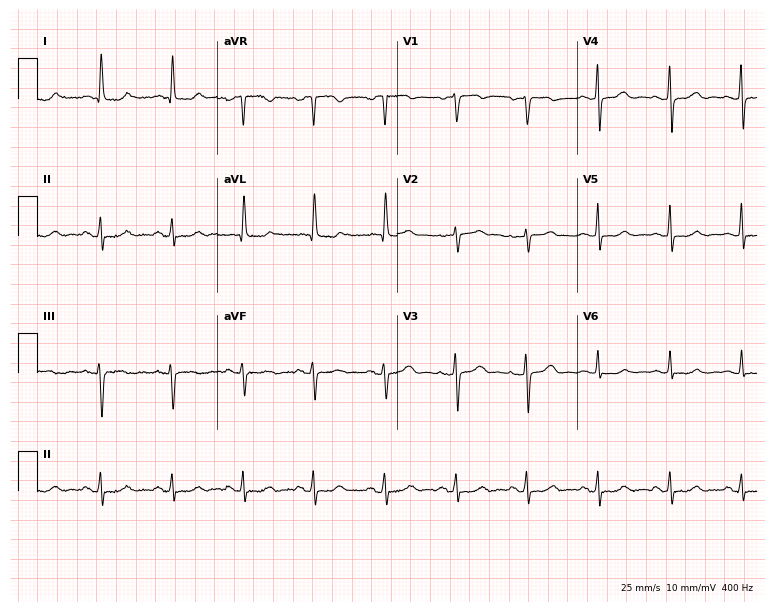
Electrocardiogram, a 71-year-old female patient. Overall reading on record: normal ECG.